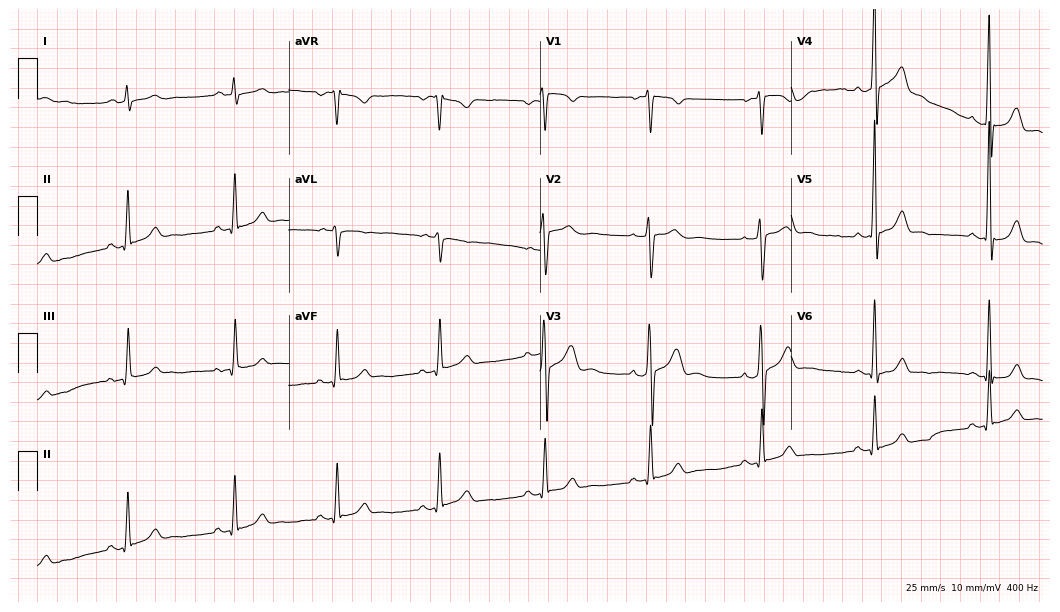
ECG (10.2-second recording at 400 Hz) — a man, 41 years old. Labelled as a normal ECG.